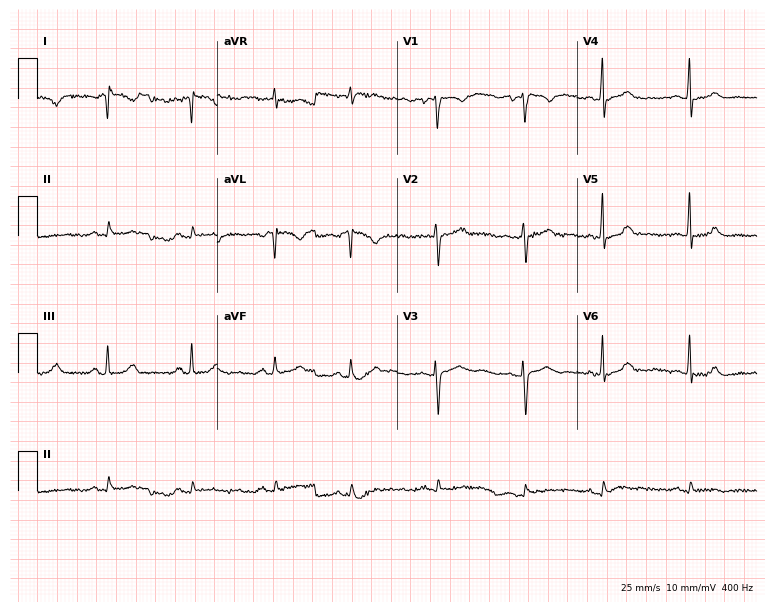
Standard 12-lead ECG recorded from a woman, 28 years old (7.3-second recording at 400 Hz). None of these six findings is recorded: first-degree AV block, right bundle branch block, left bundle branch block, sinus bradycardia, atrial fibrillation, sinus tachycardia. Findings outside these six are not listed.